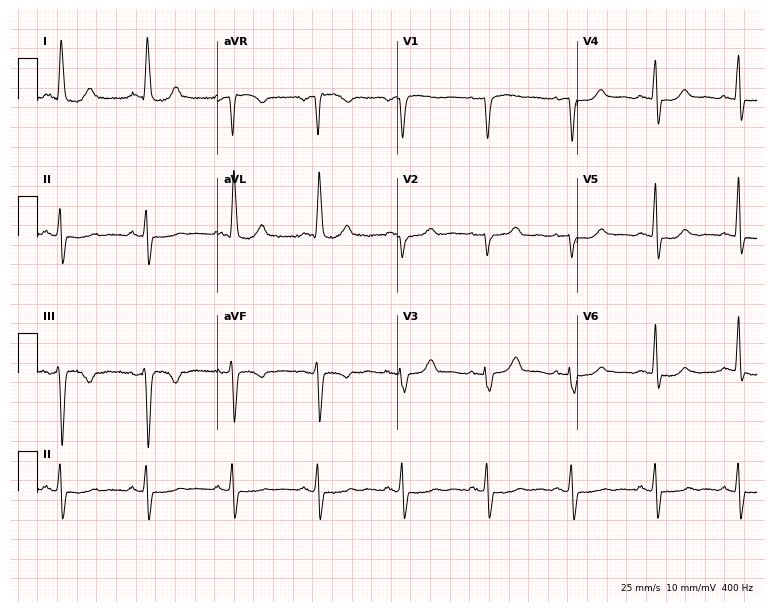
Standard 12-lead ECG recorded from a female, 62 years old (7.3-second recording at 400 Hz). Read as a normal ECG.